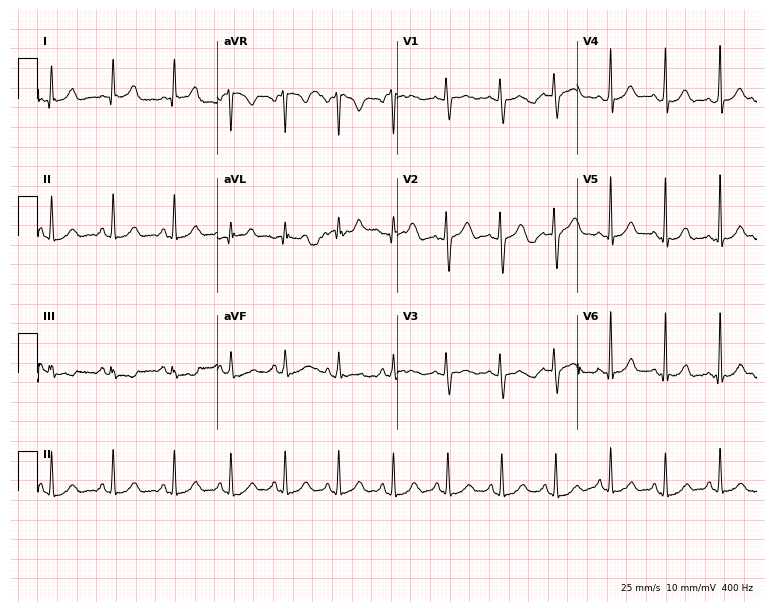
Electrocardiogram, a female patient, 19 years old. Overall reading on record: normal ECG.